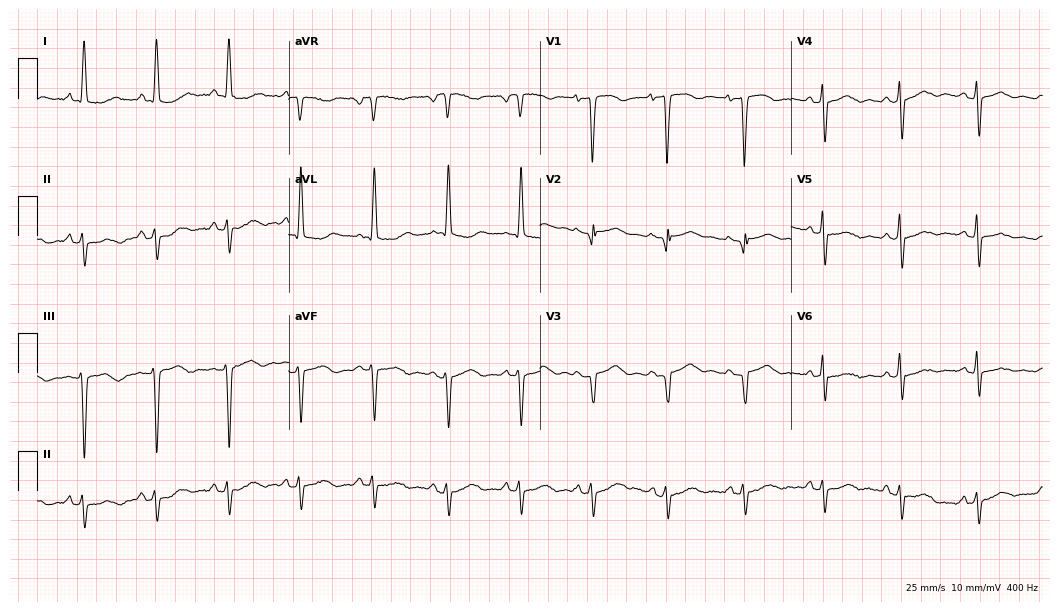
12-lead ECG from a female, 70 years old (10.2-second recording at 400 Hz). No first-degree AV block, right bundle branch block, left bundle branch block, sinus bradycardia, atrial fibrillation or sinus tachycardia recorded for this tracing. Other findings, if any, are not listed.